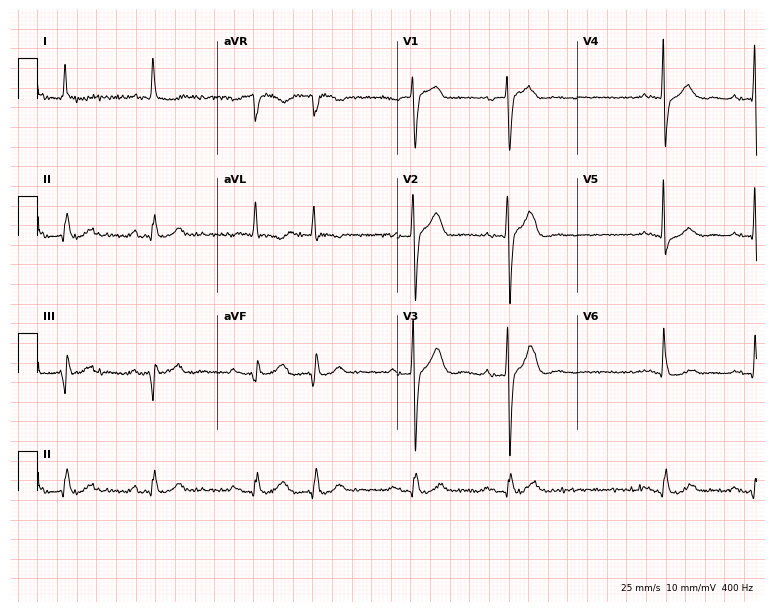
ECG (7.3-second recording at 400 Hz) — a man, 77 years old. Screened for six findings — first-degree AV block, right bundle branch block (RBBB), left bundle branch block (LBBB), sinus bradycardia, atrial fibrillation (AF), sinus tachycardia — none is recorded.